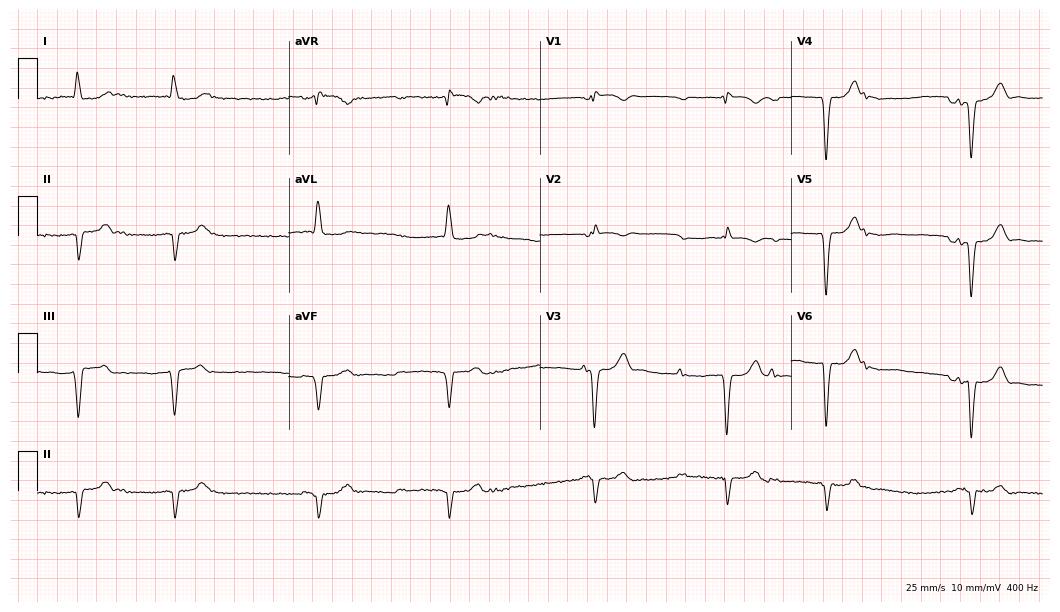
12-lead ECG from a male, 53 years old. Findings include first-degree AV block.